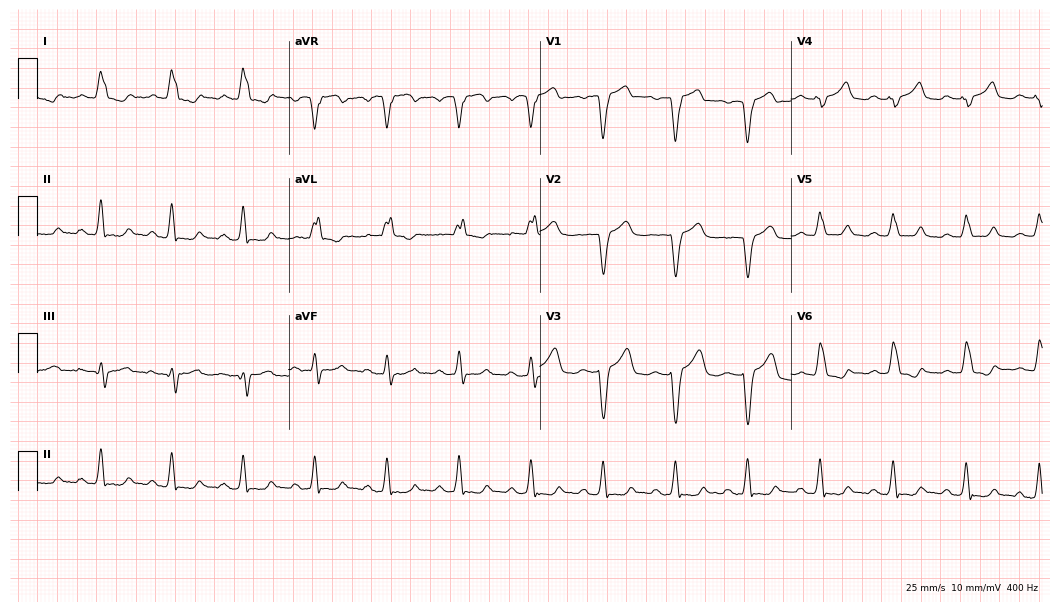
Resting 12-lead electrocardiogram (10.2-second recording at 400 Hz). Patient: a female, 83 years old. The tracing shows left bundle branch block.